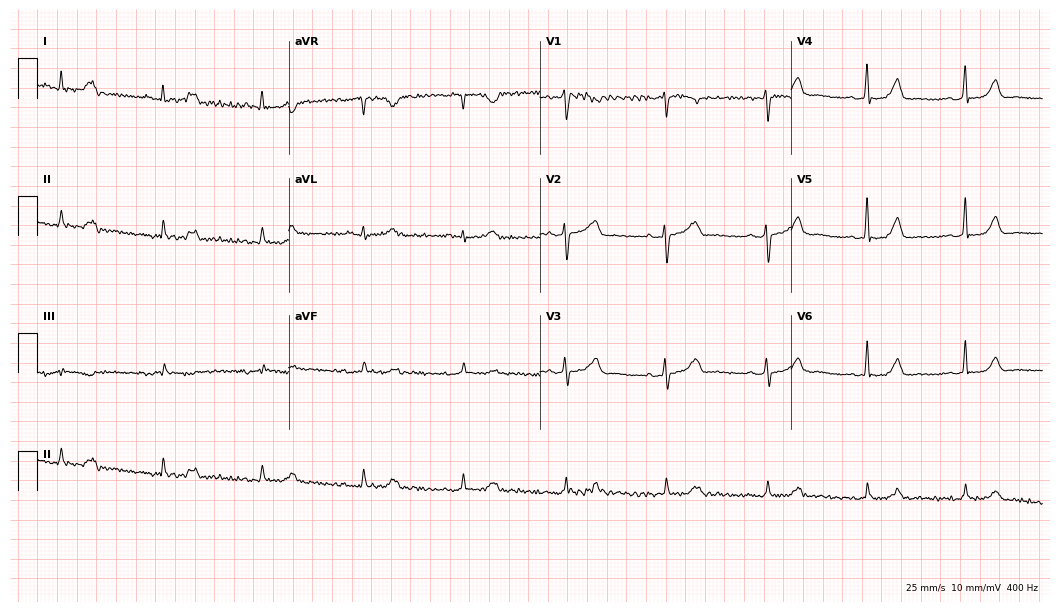
ECG (10.2-second recording at 400 Hz) — a female, 61 years old. Labelled as a normal ECG.